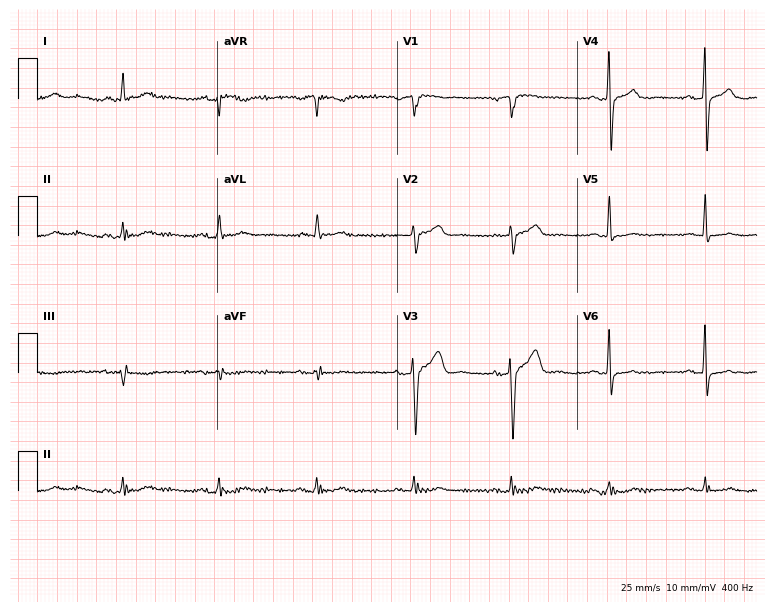
12-lead ECG from a 69-year-old male (7.3-second recording at 400 Hz). No first-degree AV block, right bundle branch block, left bundle branch block, sinus bradycardia, atrial fibrillation or sinus tachycardia recorded for this tracing.